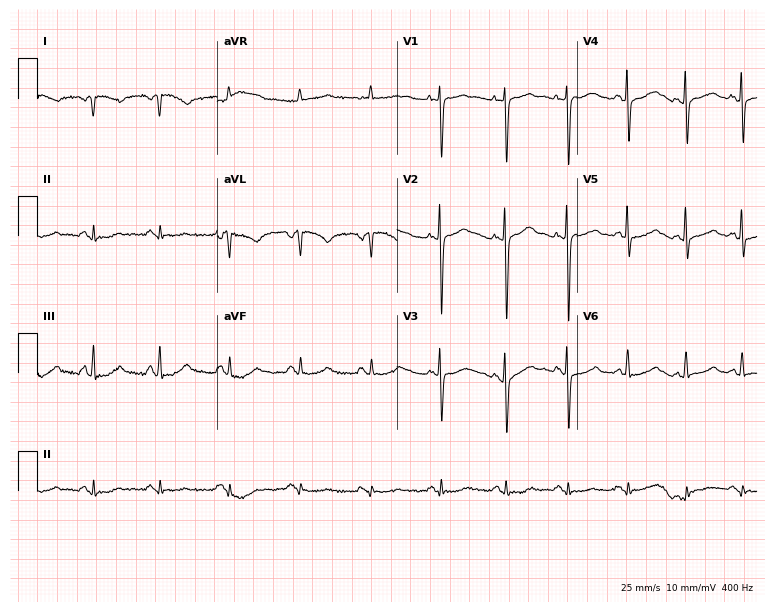
Resting 12-lead electrocardiogram. Patient: a woman, 58 years old. None of these six findings is recorded: first-degree AV block, right bundle branch block, left bundle branch block, sinus bradycardia, atrial fibrillation, sinus tachycardia.